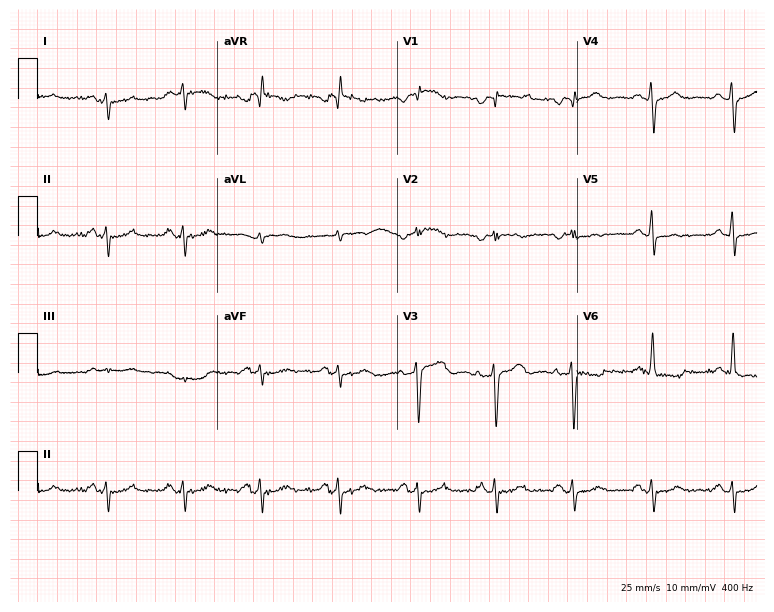
Electrocardiogram (7.3-second recording at 400 Hz), an 86-year-old male. Of the six screened findings (first-degree AV block, right bundle branch block, left bundle branch block, sinus bradycardia, atrial fibrillation, sinus tachycardia), none is recorded. Findings outside these six are not listed.